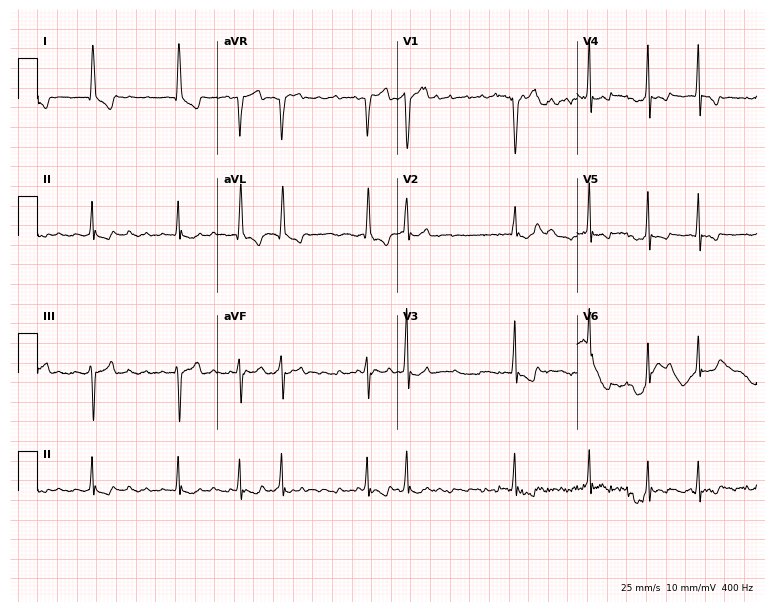
12-lead ECG from a female patient, 85 years old. Shows atrial fibrillation.